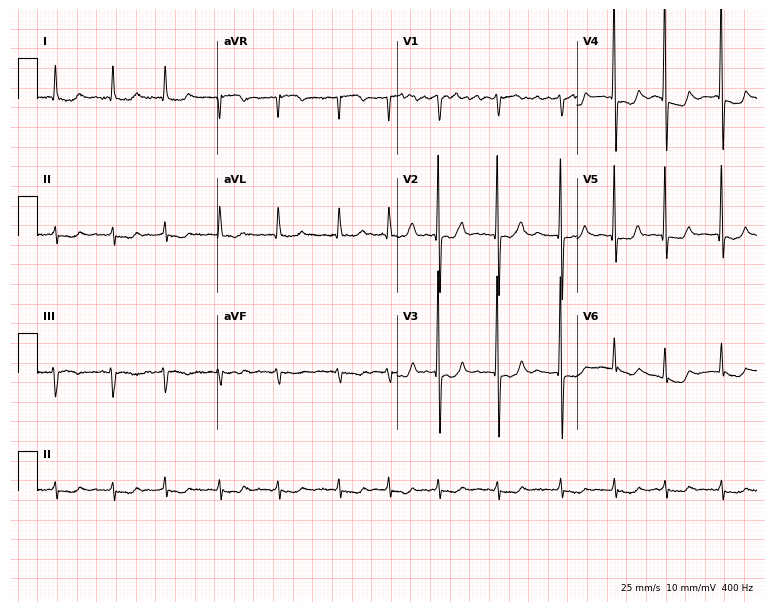
12-lead ECG from an 84-year-old male patient. Findings include atrial fibrillation.